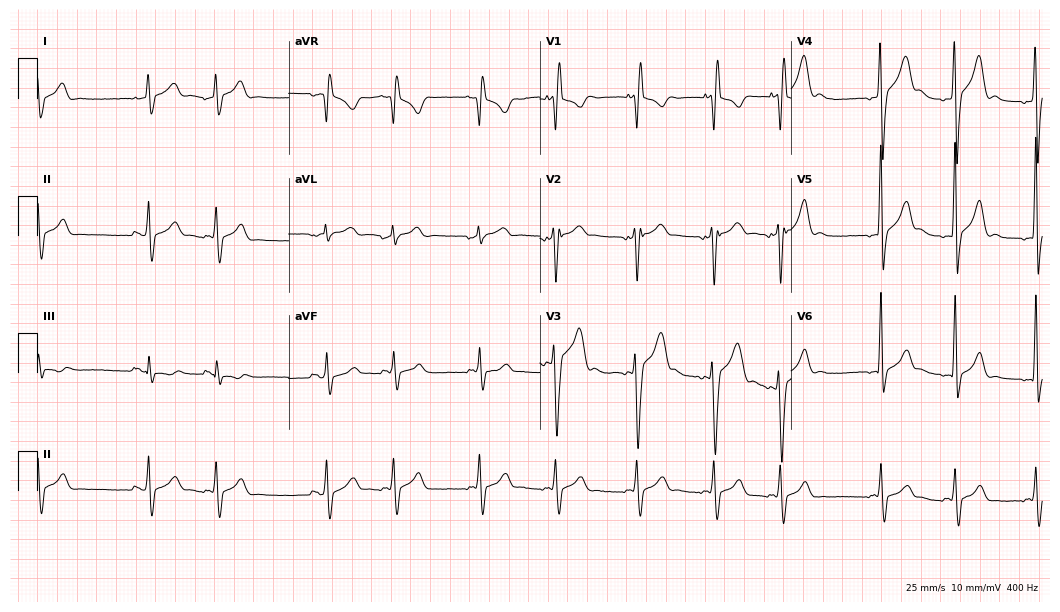
Standard 12-lead ECG recorded from a 17-year-old man (10.2-second recording at 400 Hz). None of these six findings is recorded: first-degree AV block, right bundle branch block (RBBB), left bundle branch block (LBBB), sinus bradycardia, atrial fibrillation (AF), sinus tachycardia. Only these six findings were labelled.